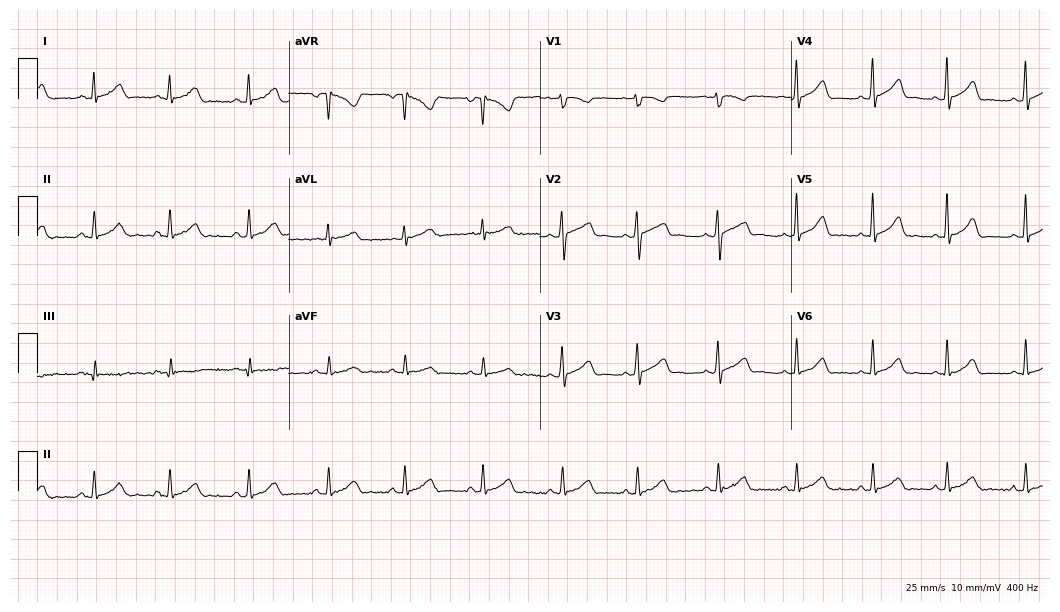
12-lead ECG from a 35-year-old female. Recorded interpretation: within normal limits.